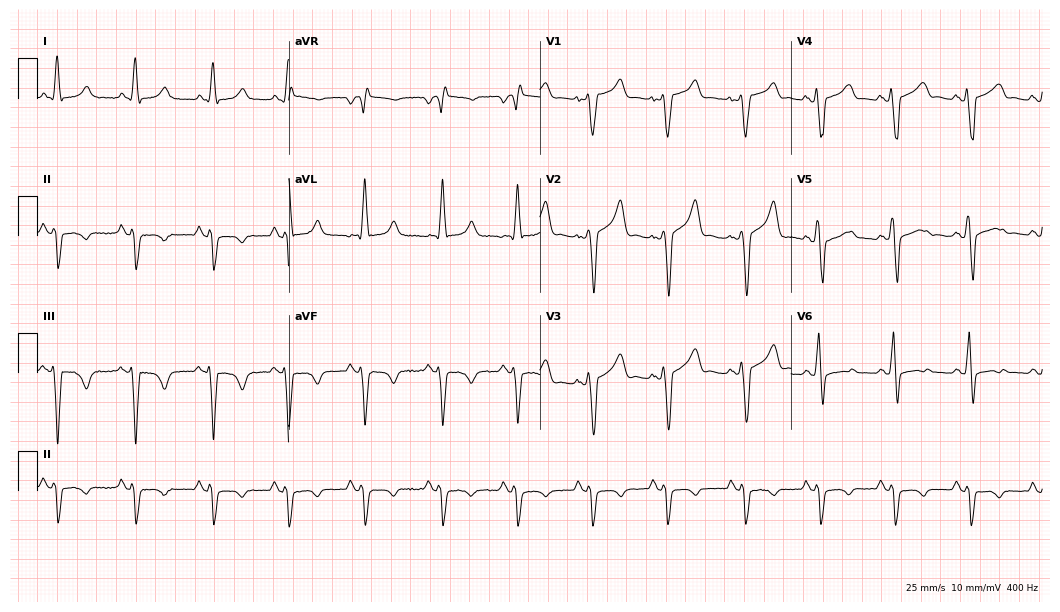
12-lead ECG from a 46-year-old male (10.2-second recording at 400 Hz). No first-degree AV block, right bundle branch block, left bundle branch block, sinus bradycardia, atrial fibrillation or sinus tachycardia recorded for this tracing. Only these six findings were labelled.